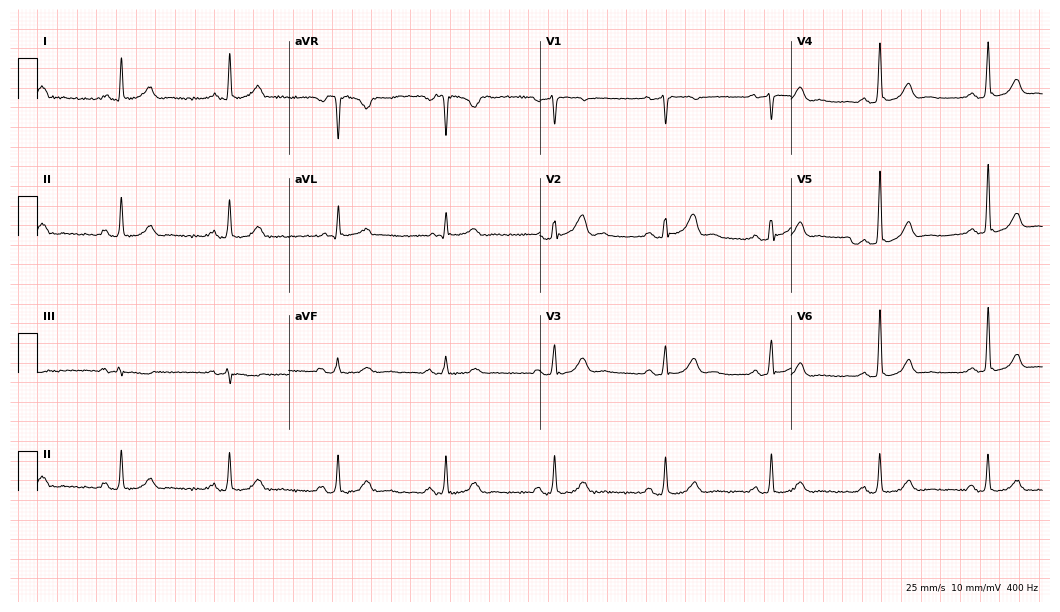
Standard 12-lead ECG recorded from a male patient, 73 years old (10.2-second recording at 400 Hz). Read as a normal ECG.